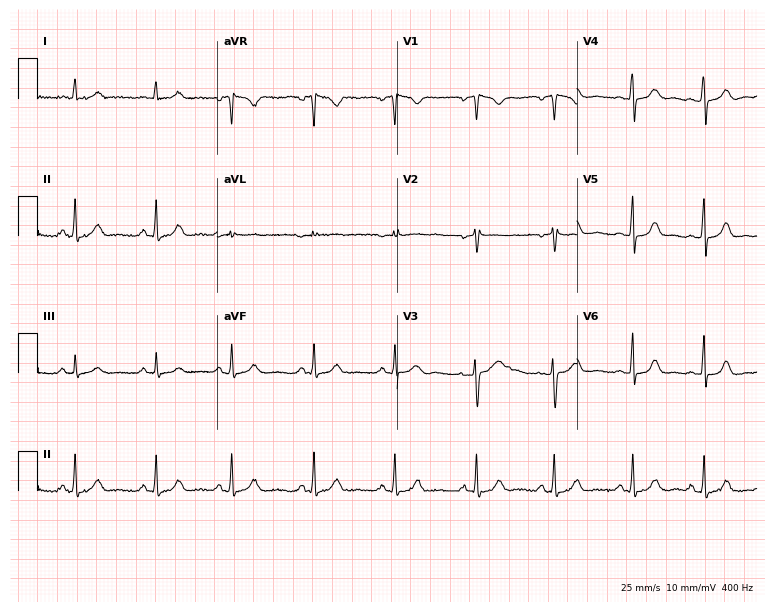
Resting 12-lead electrocardiogram (7.3-second recording at 400 Hz). Patient: a female, 29 years old. Read as a normal ECG.